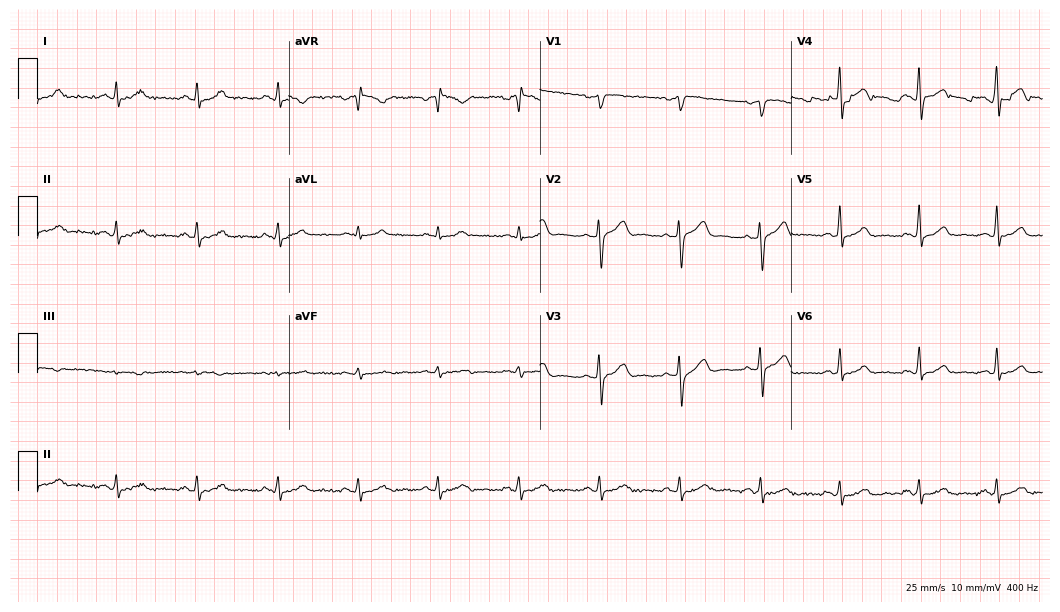
ECG (10.2-second recording at 400 Hz) — a 51-year-old male patient. Labelled as a normal ECG.